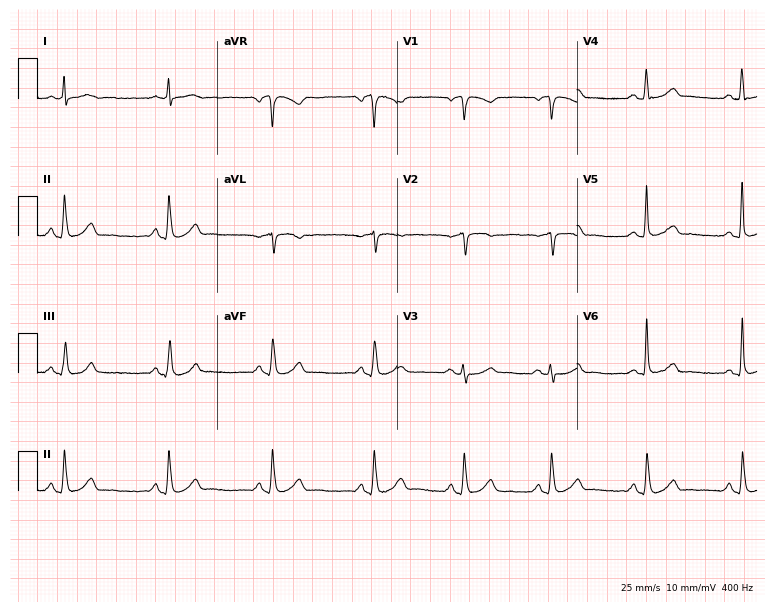
12-lead ECG from a male, 57 years old (7.3-second recording at 400 Hz). No first-degree AV block, right bundle branch block (RBBB), left bundle branch block (LBBB), sinus bradycardia, atrial fibrillation (AF) or sinus tachycardia recorded for this tracing.